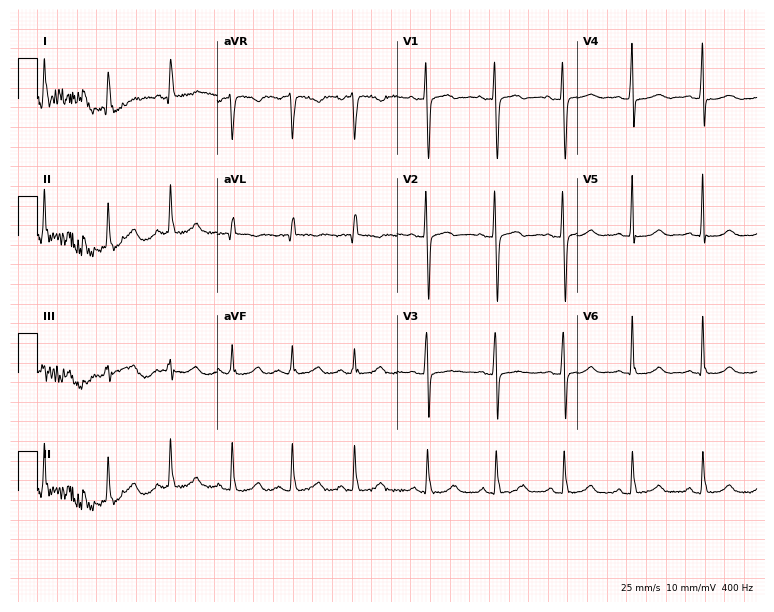
ECG — a female patient, 43 years old. Screened for six findings — first-degree AV block, right bundle branch block, left bundle branch block, sinus bradycardia, atrial fibrillation, sinus tachycardia — none is recorded.